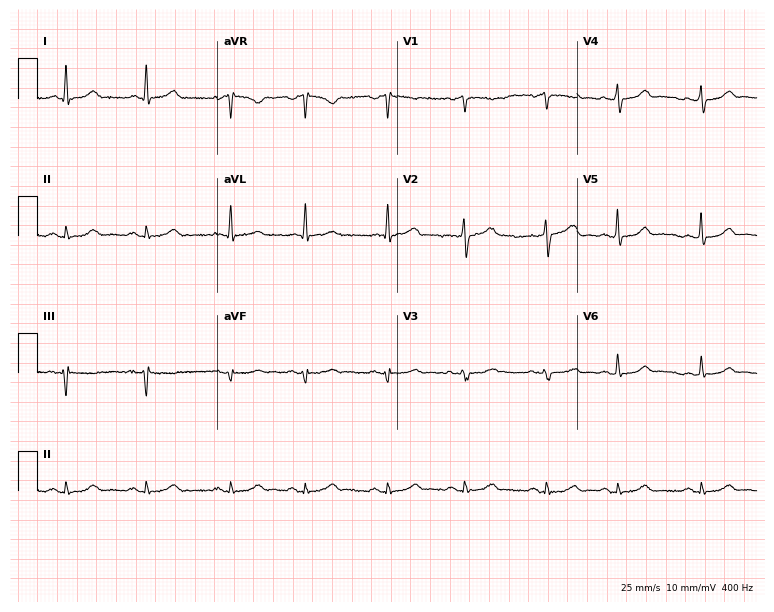
12-lead ECG (7.3-second recording at 400 Hz) from a 59-year-old female. Labelled as a normal ECG.